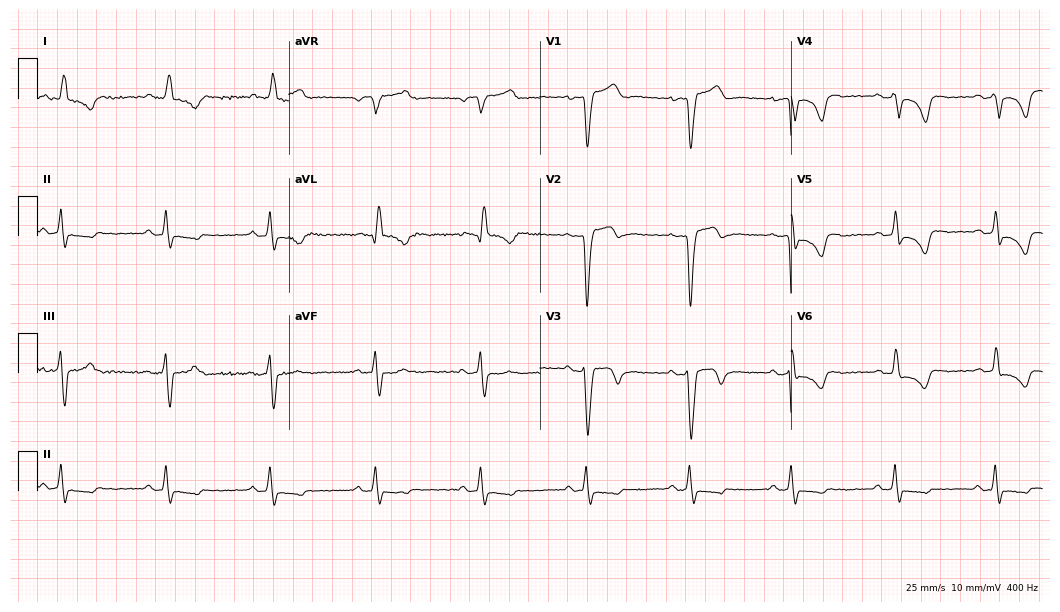
12-lead ECG from a male patient, 76 years old. No first-degree AV block, right bundle branch block, left bundle branch block, sinus bradycardia, atrial fibrillation or sinus tachycardia recorded for this tracing. Findings outside these six are not listed.